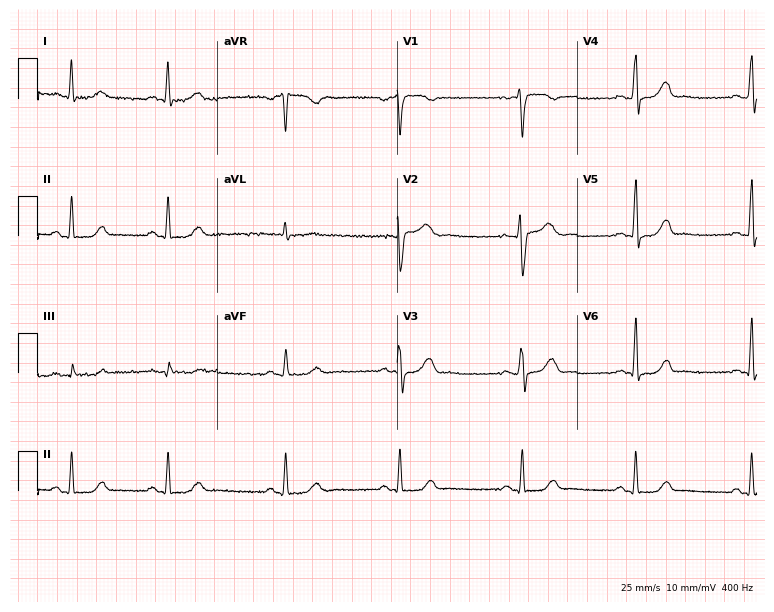
ECG (7.3-second recording at 400 Hz) — a female patient, 39 years old. Labelled as a normal ECG.